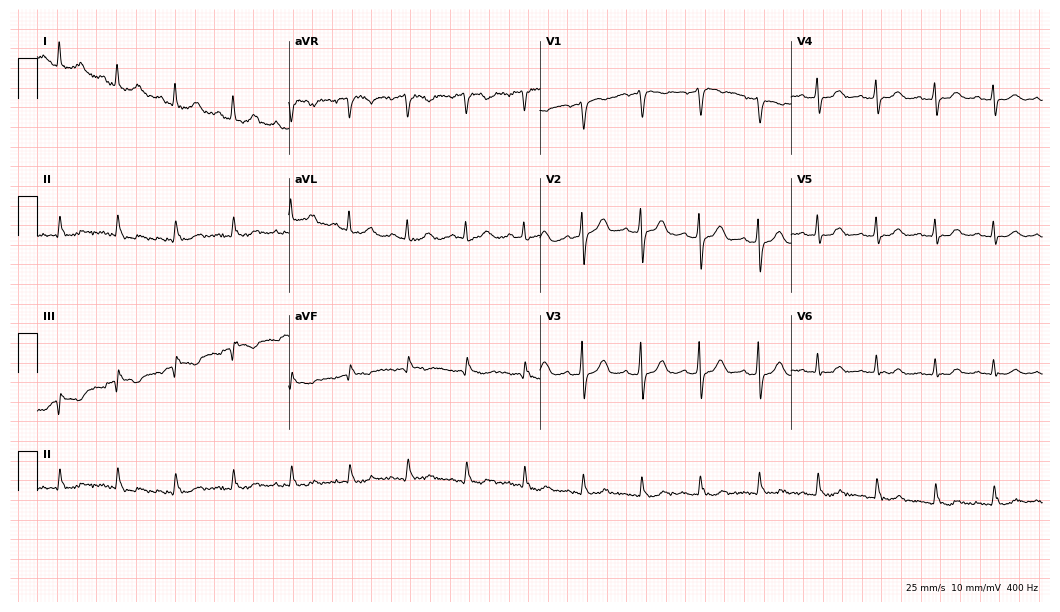
Standard 12-lead ECG recorded from a 72-year-old female (10.2-second recording at 400 Hz). None of these six findings is recorded: first-degree AV block, right bundle branch block (RBBB), left bundle branch block (LBBB), sinus bradycardia, atrial fibrillation (AF), sinus tachycardia.